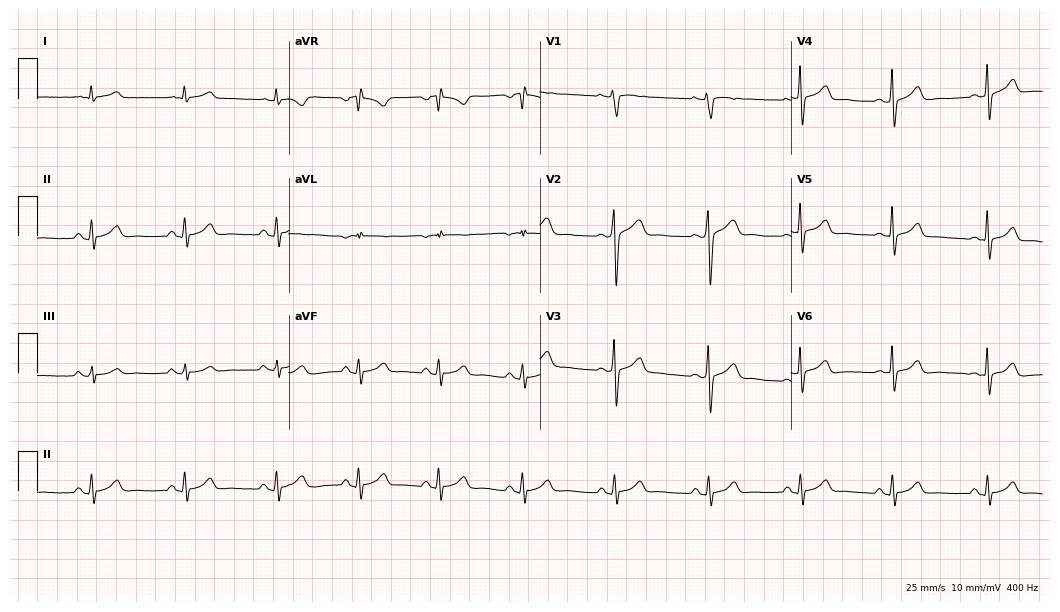
ECG (10.2-second recording at 400 Hz) — a female, 38 years old. Screened for six findings — first-degree AV block, right bundle branch block, left bundle branch block, sinus bradycardia, atrial fibrillation, sinus tachycardia — none is recorded. Findings outside these six are not listed.